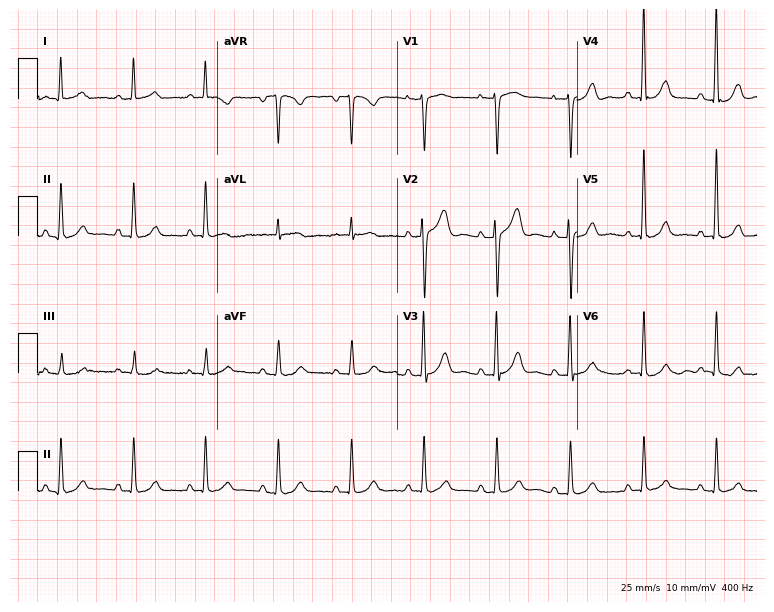
12-lead ECG from a male patient, 71 years old. Recorded interpretation: within normal limits.